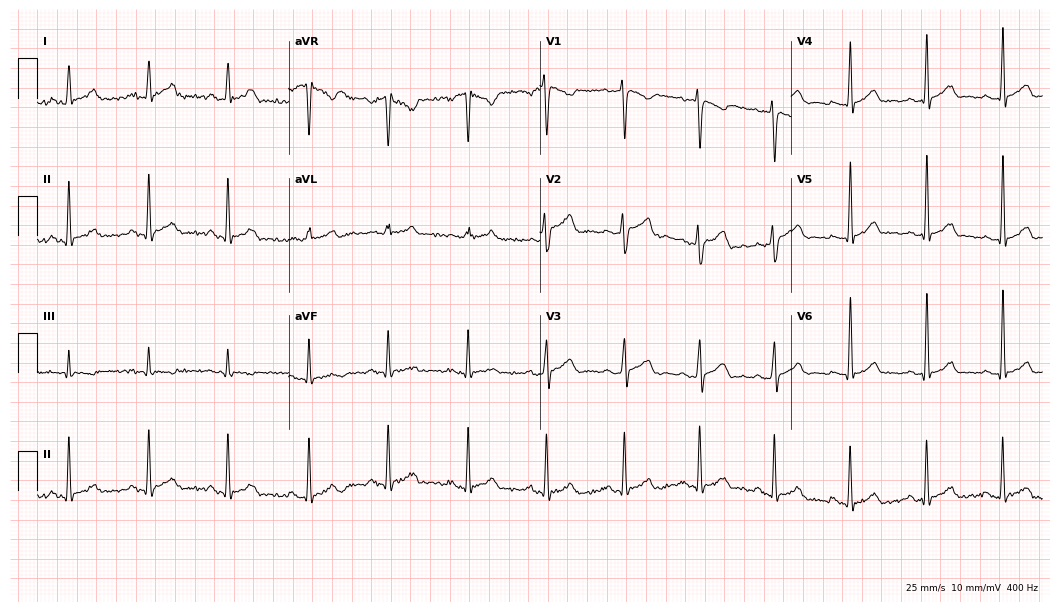
Electrocardiogram, a man, 33 years old. Overall reading on record: normal ECG.